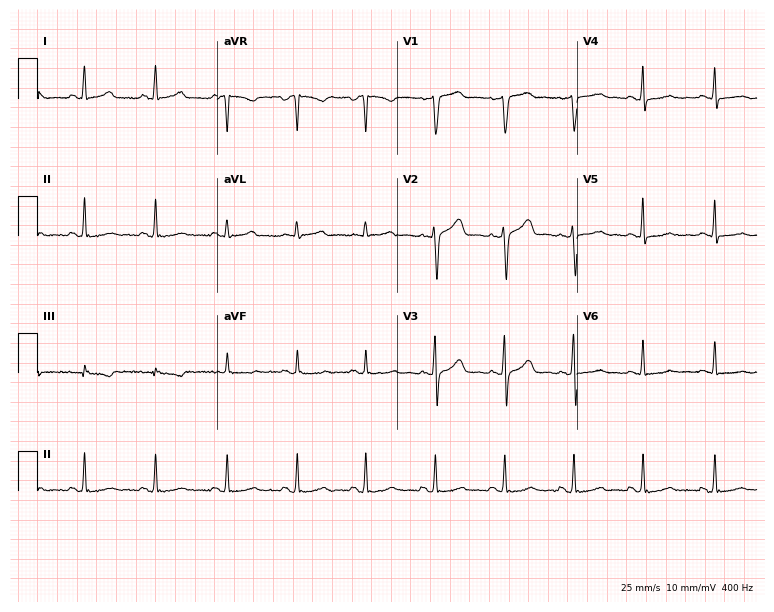
Electrocardiogram (7.3-second recording at 400 Hz), a female patient, 43 years old. Overall reading on record: normal ECG.